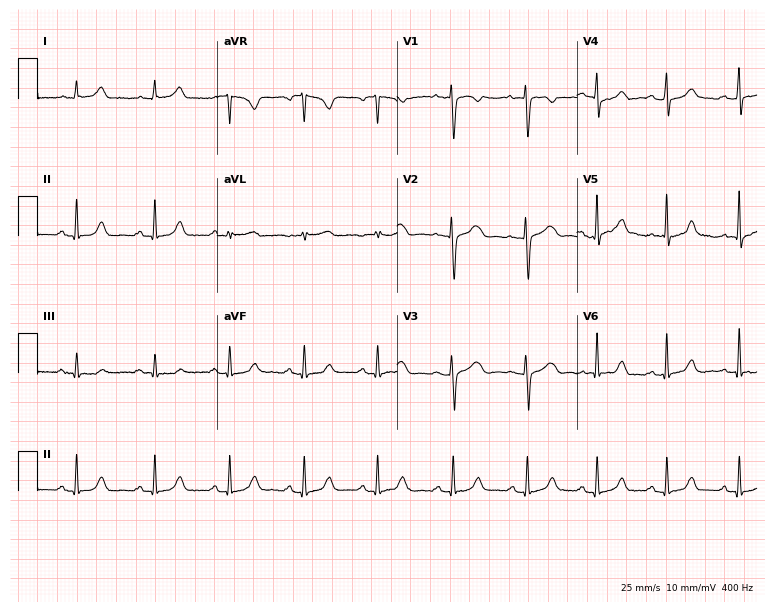
Standard 12-lead ECG recorded from a 22-year-old female patient. None of these six findings is recorded: first-degree AV block, right bundle branch block (RBBB), left bundle branch block (LBBB), sinus bradycardia, atrial fibrillation (AF), sinus tachycardia. Other findings, if any, are not listed.